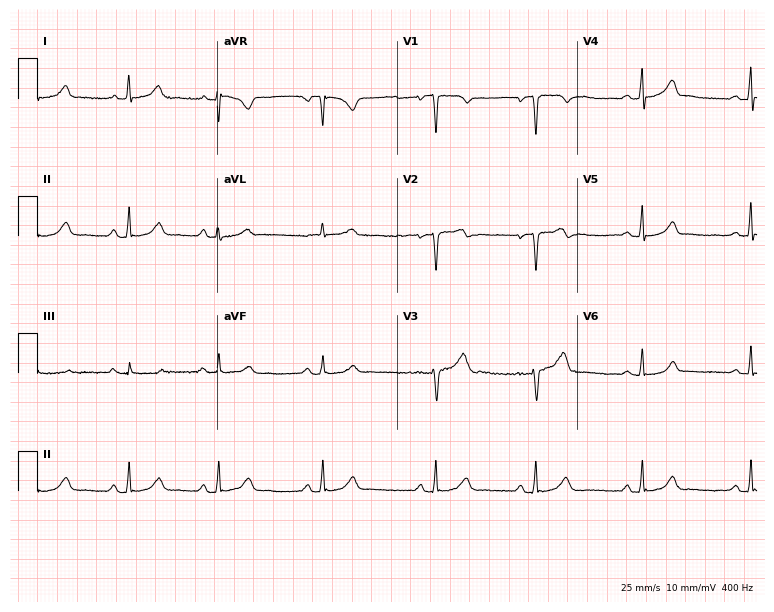
12-lead ECG (7.3-second recording at 400 Hz) from a 52-year-old female patient. Screened for six findings — first-degree AV block, right bundle branch block (RBBB), left bundle branch block (LBBB), sinus bradycardia, atrial fibrillation (AF), sinus tachycardia — none is recorded.